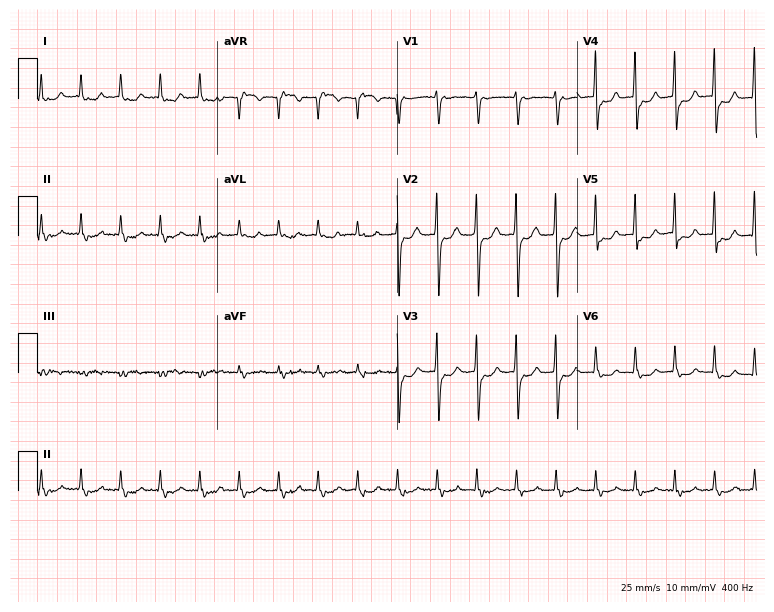
ECG — a 78-year-old woman. Screened for six findings — first-degree AV block, right bundle branch block, left bundle branch block, sinus bradycardia, atrial fibrillation, sinus tachycardia — none is recorded.